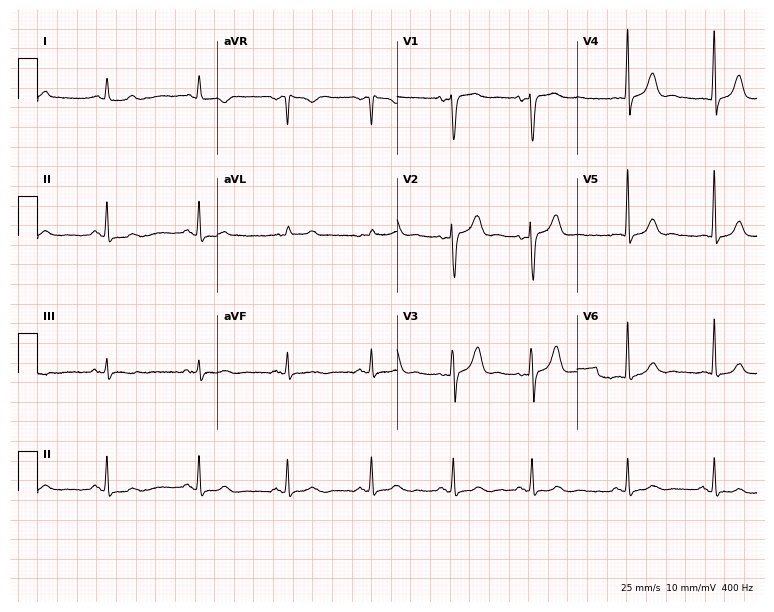
ECG — a female, 78 years old. Screened for six findings — first-degree AV block, right bundle branch block, left bundle branch block, sinus bradycardia, atrial fibrillation, sinus tachycardia — none is recorded. Findings outside these six are not listed.